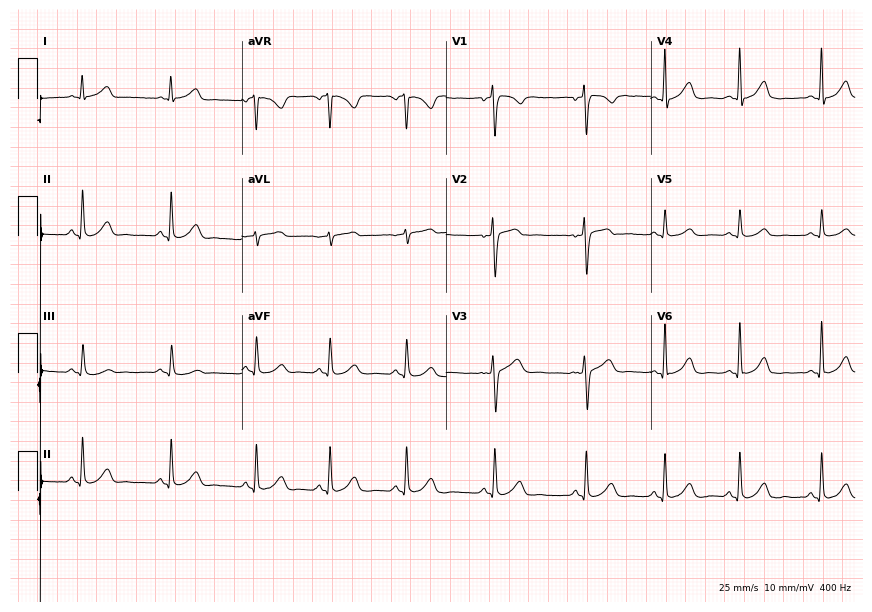
Electrocardiogram (8.3-second recording at 400 Hz), a woman, 35 years old. Overall reading on record: normal ECG.